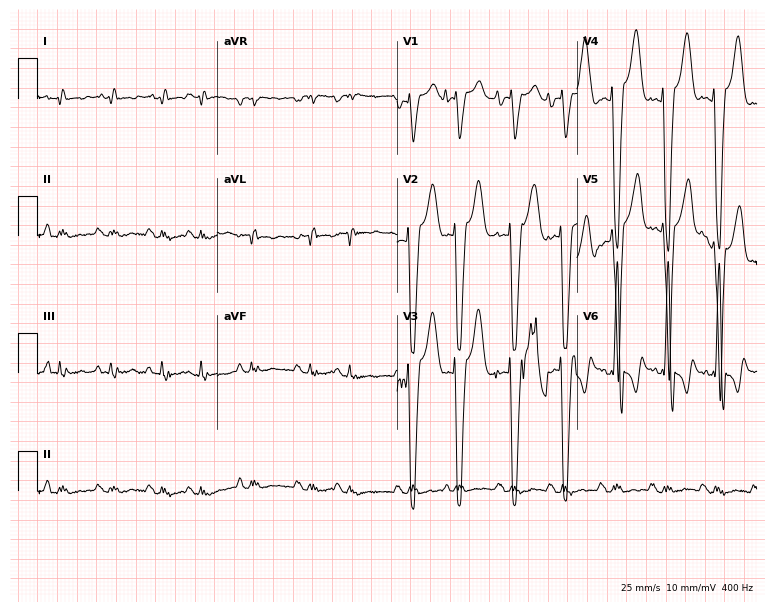
Electrocardiogram, a woman, 71 years old. Interpretation includes left bundle branch block (LBBB), sinus tachycardia (a sinus rate of 100 beats per minute or more).